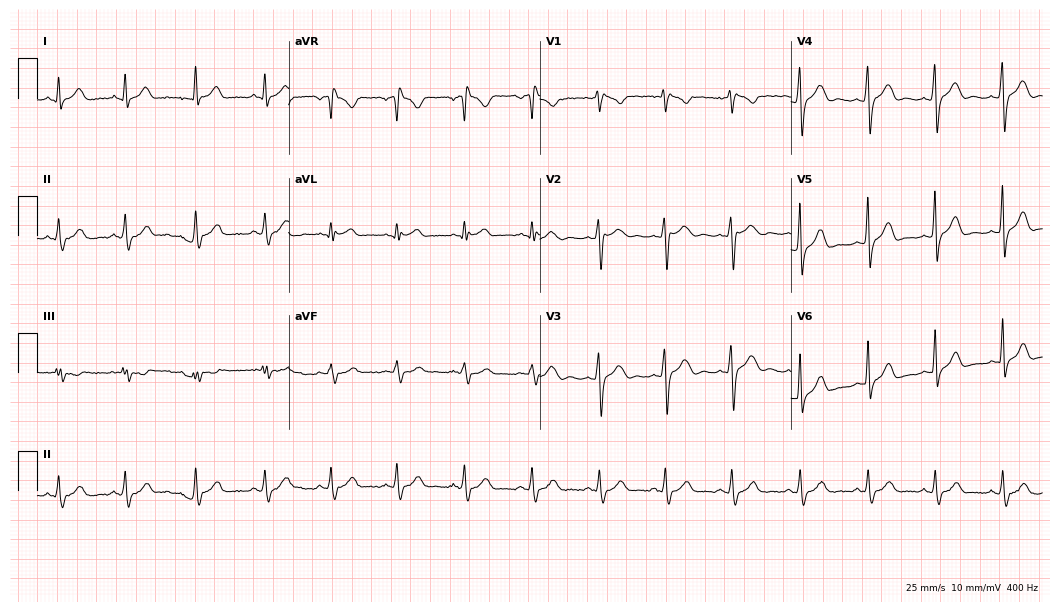
Electrocardiogram (10.2-second recording at 400 Hz), an 18-year-old female patient. Of the six screened findings (first-degree AV block, right bundle branch block (RBBB), left bundle branch block (LBBB), sinus bradycardia, atrial fibrillation (AF), sinus tachycardia), none is recorded.